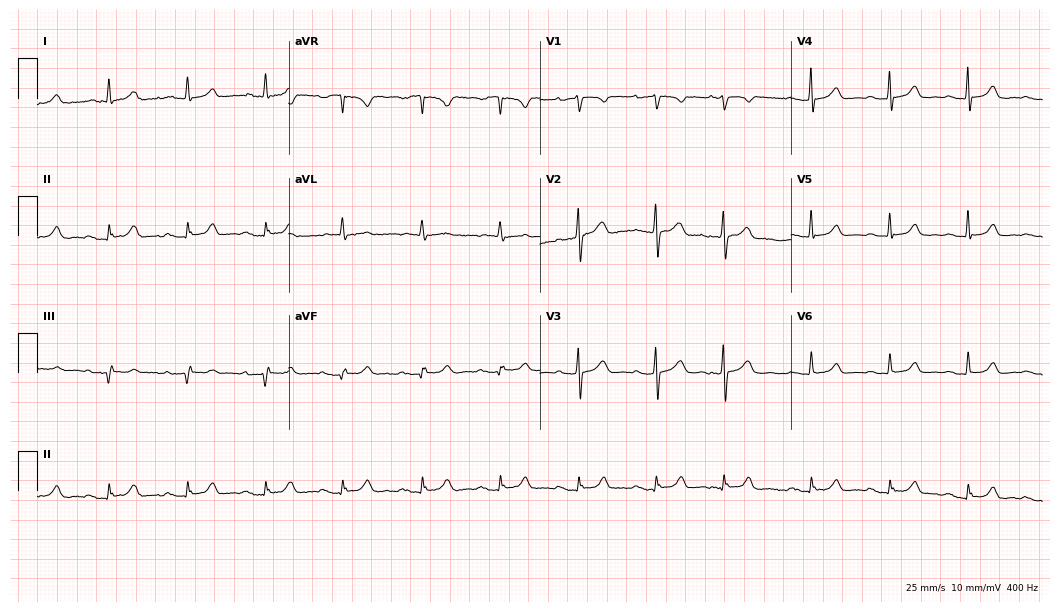
12-lead ECG from a female, 81 years old. Shows first-degree AV block.